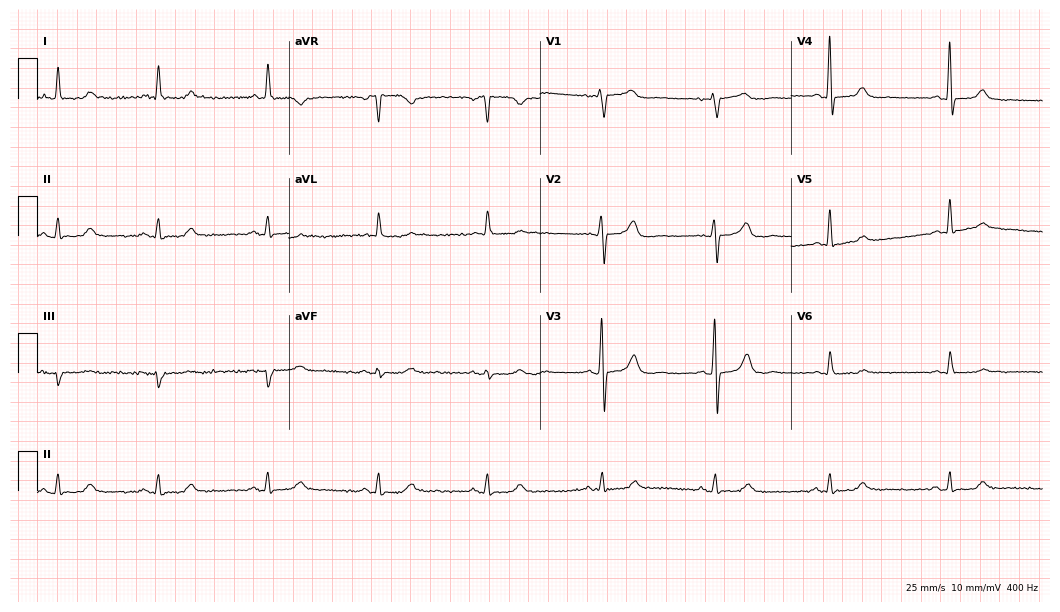
12-lead ECG (10.2-second recording at 400 Hz) from a 61-year-old female patient. Screened for six findings — first-degree AV block, right bundle branch block, left bundle branch block, sinus bradycardia, atrial fibrillation, sinus tachycardia — none is recorded.